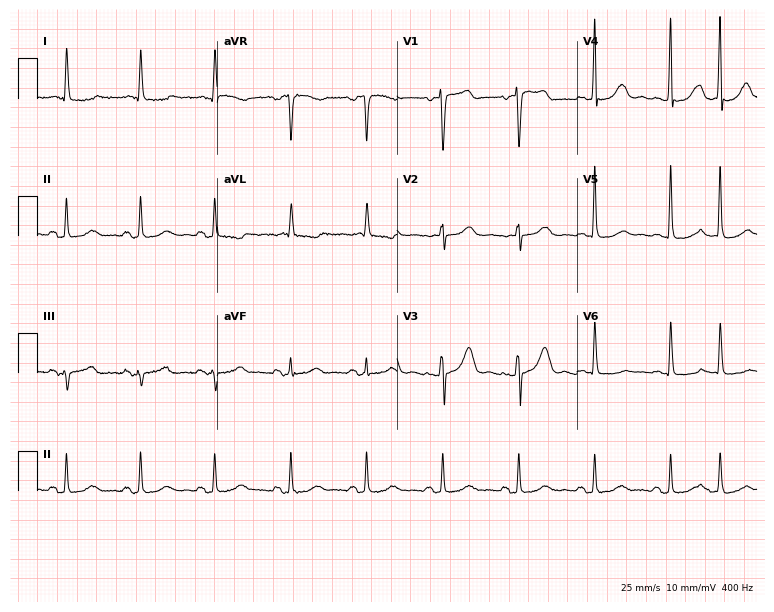
12-lead ECG from an 80-year-old female patient. No first-degree AV block, right bundle branch block, left bundle branch block, sinus bradycardia, atrial fibrillation or sinus tachycardia recorded for this tracing. Findings outside these six are not listed.